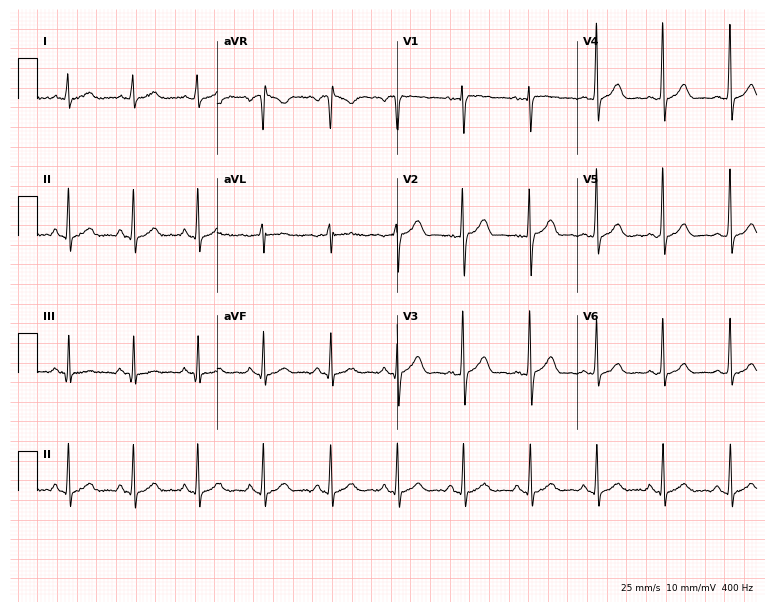
Resting 12-lead electrocardiogram. Patient: a 40-year-old female. None of these six findings is recorded: first-degree AV block, right bundle branch block, left bundle branch block, sinus bradycardia, atrial fibrillation, sinus tachycardia.